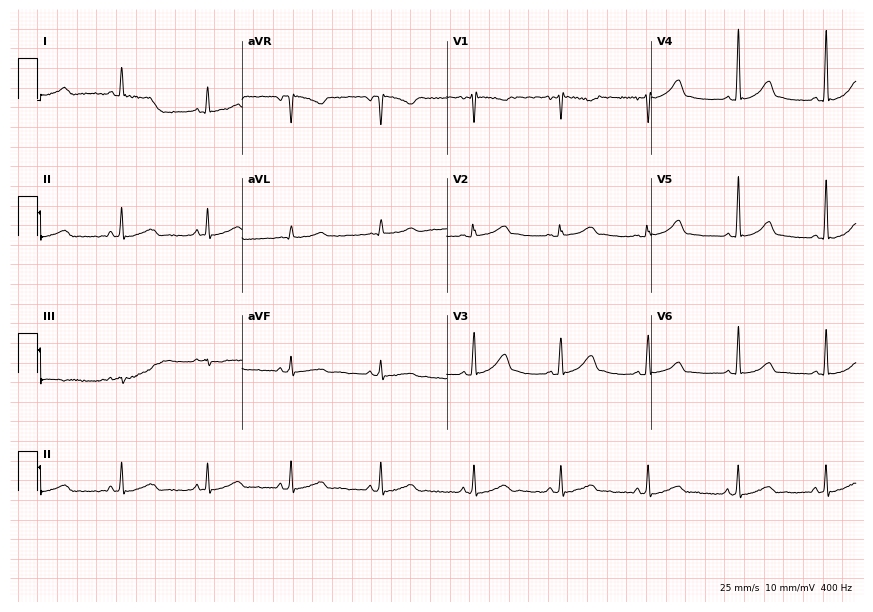
ECG (8.3-second recording at 400 Hz) — a female patient, 18 years old. Screened for six findings — first-degree AV block, right bundle branch block, left bundle branch block, sinus bradycardia, atrial fibrillation, sinus tachycardia — none is recorded.